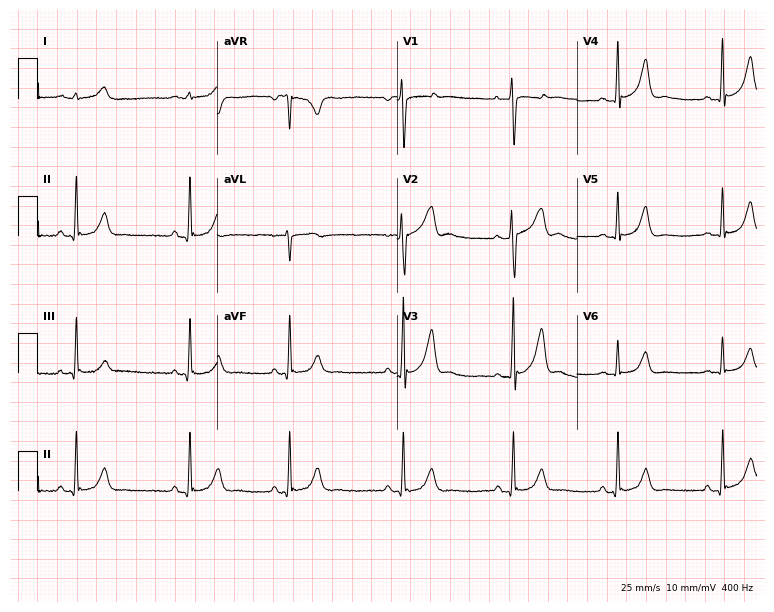
ECG — a male patient, 28 years old. Screened for six findings — first-degree AV block, right bundle branch block, left bundle branch block, sinus bradycardia, atrial fibrillation, sinus tachycardia — none is recorded. Only these six findings were labelled.